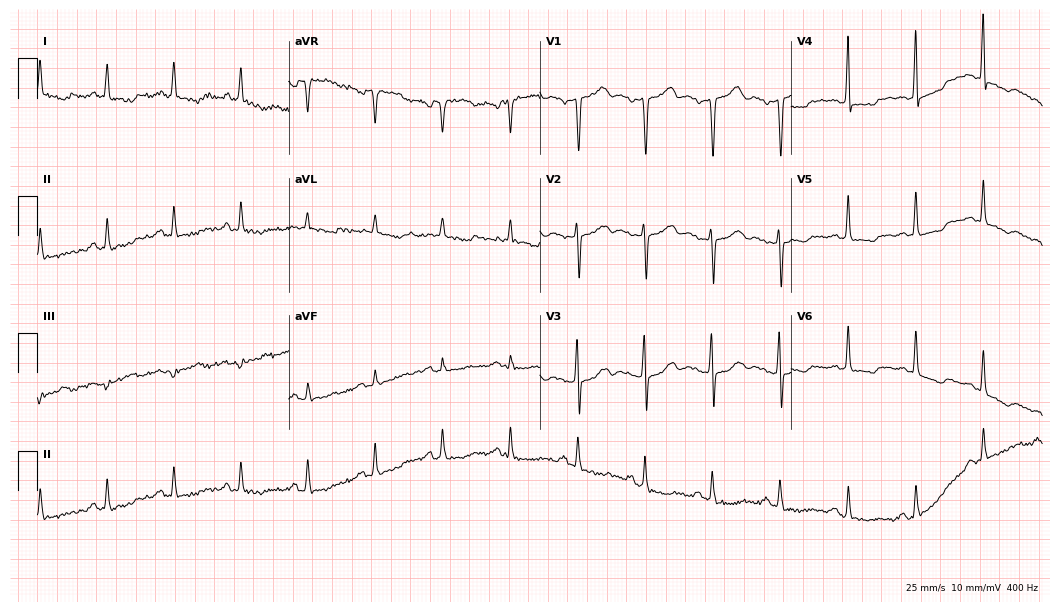
12-lead ECG from a 54-year-old female (10.2-second recording at 400 Hz). No first-degree AV block, right bundle branch block (RBBB), left bundle branch block (LBBB), sinus bradycardia, atrial fibrillation (AF) or sinus tachycardia recorded for this tracing. Other findings, if any, are not listed.